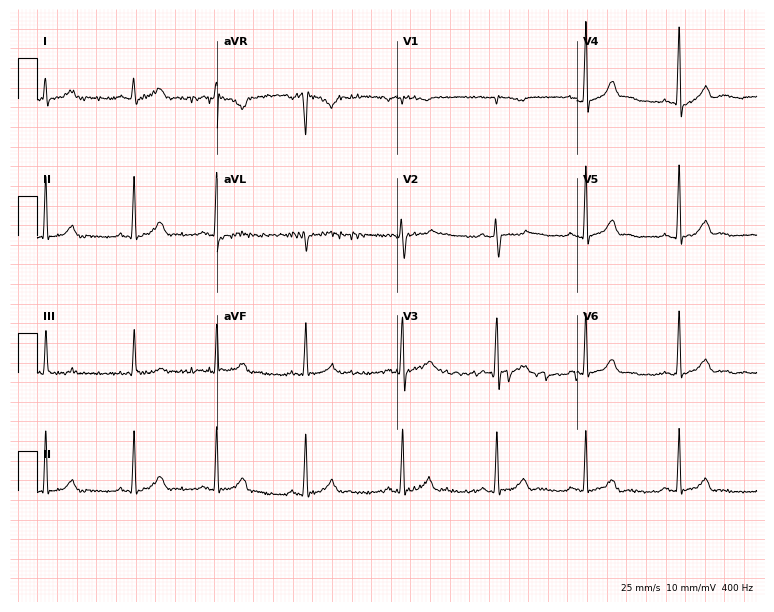
12-lead ECG from a female, 22 years old. Recorded interpretation: within normal limits.